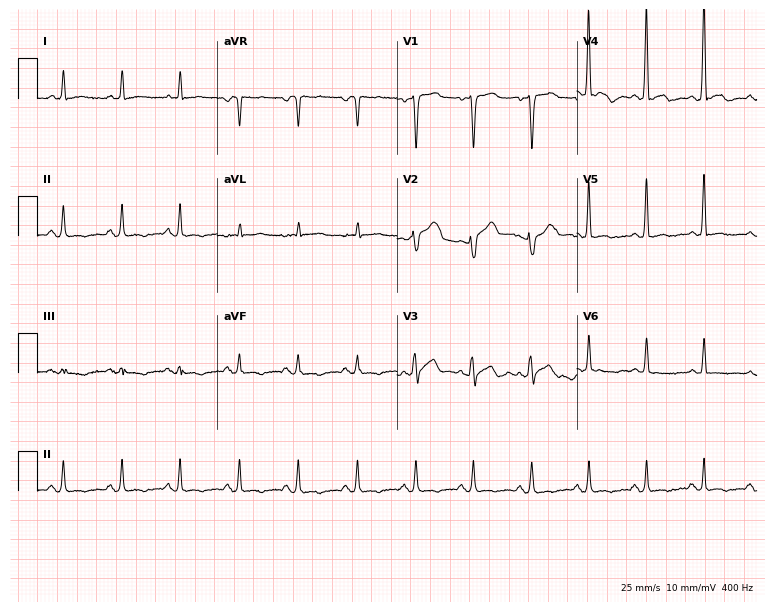
Standard 12-lead ECG recorded from a male patient, 61 years old. None of these six findings is recorded: first-degree AV block, right bundle branch block, left bundle branch block, sinus bradycardia, atrial fibrillation, sinus tachycardia. Findings outside these six are not listed.